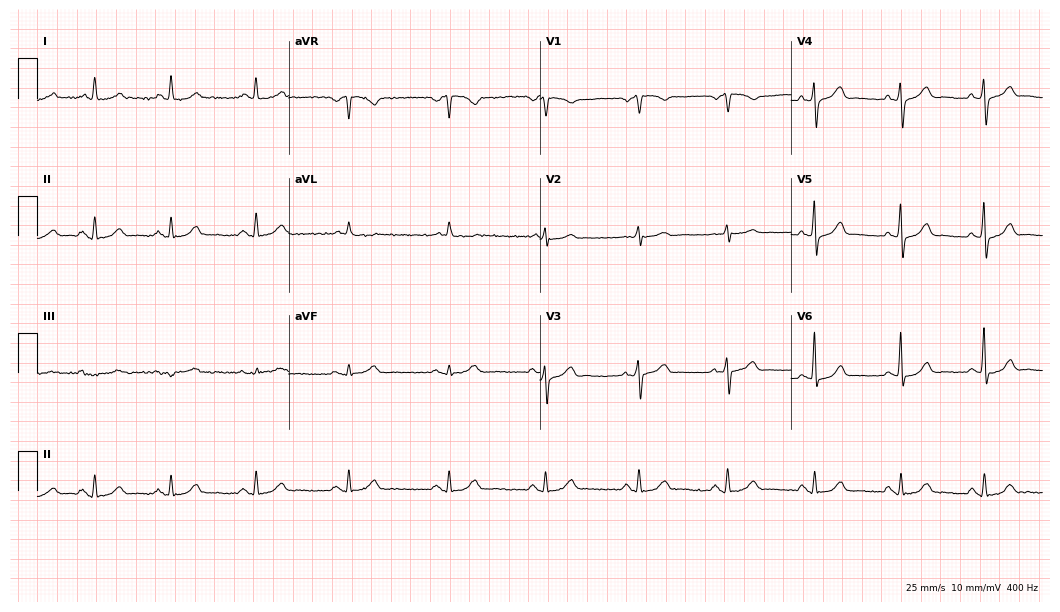
Standard 12-lead ECG recorded from a 56-year-old male. Read as a normal ECG.